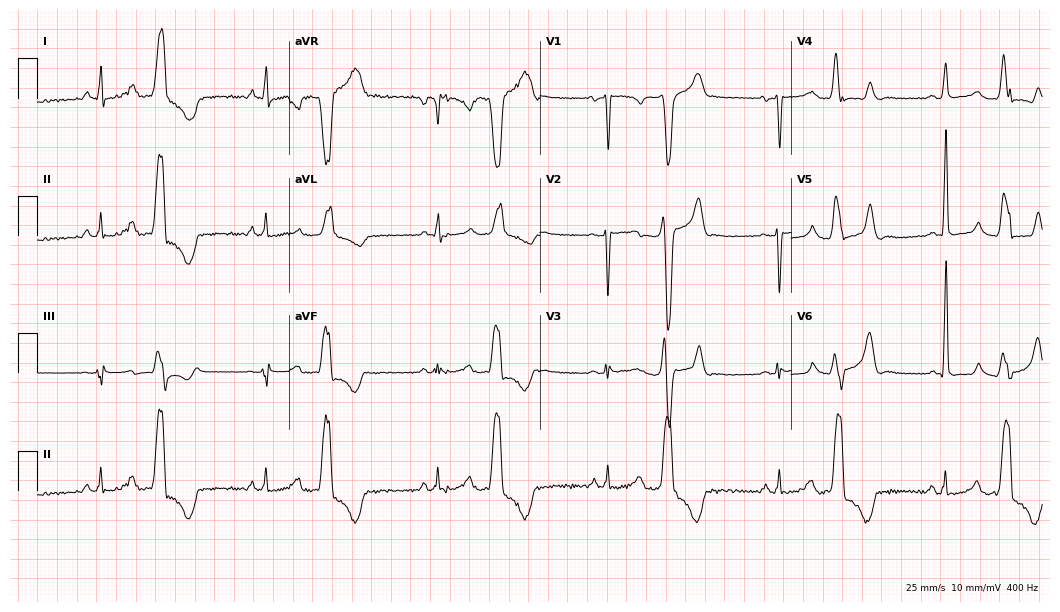
Resting 12-lead electrocardiogram (10.2-second recording at 400 Hz). Patient: a female, 44 years old. None of these six findings is recorded: first-degree AV block, right bundle branch block, left bundle branch block, sinus bradycardia, atrial fibrillation, sinus tachycardia. Only these six findings were labelled.